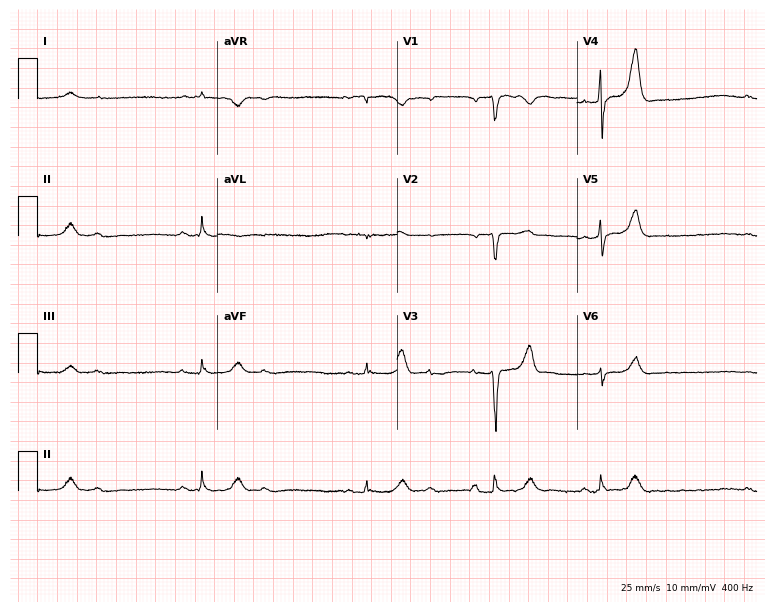
12-lead ECG from a 72-year-old male. Findings include right bundle branch block (RBBB), sinus bradycardia (a sinus rate of 50 beats per minute or less).